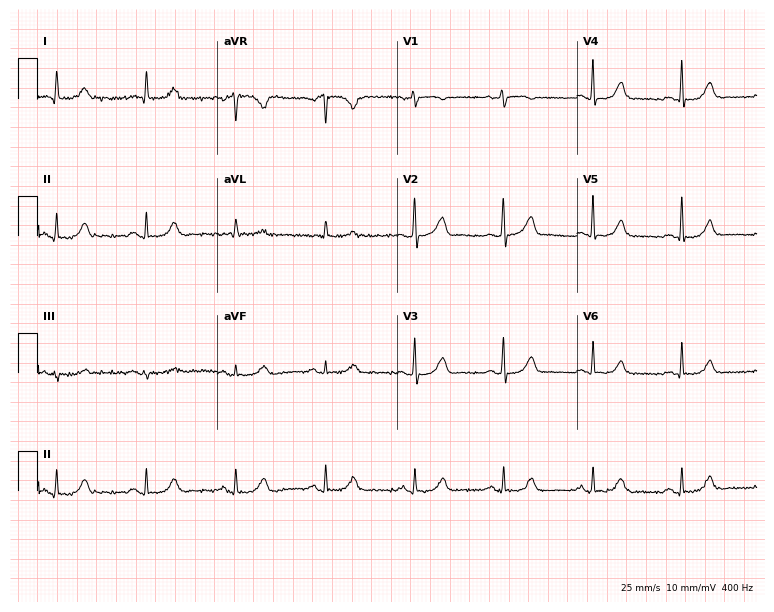
12-lead ECG from a 75-year-old woman (7.3-second recording at 400 Hz). Recorded interpretation: within normal limits.